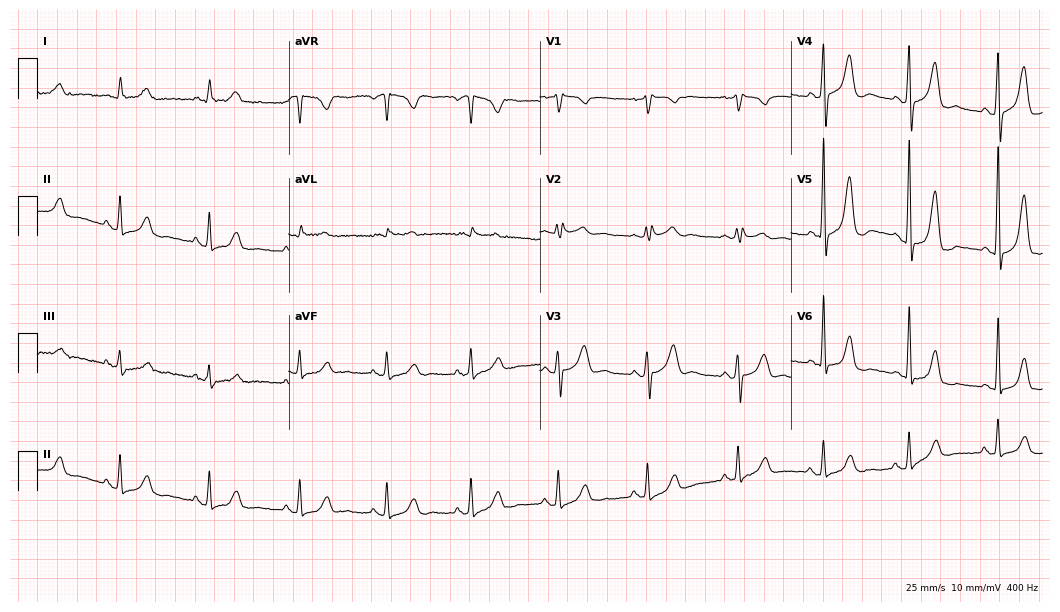
12-lead ECG from a female, 79 years old. Screened for six findings — first-degree AV block, right bundle branch block, left bundle branch block, sinus bradycardia, atrial fibrillation, sinus tachycardia — none is recorded.